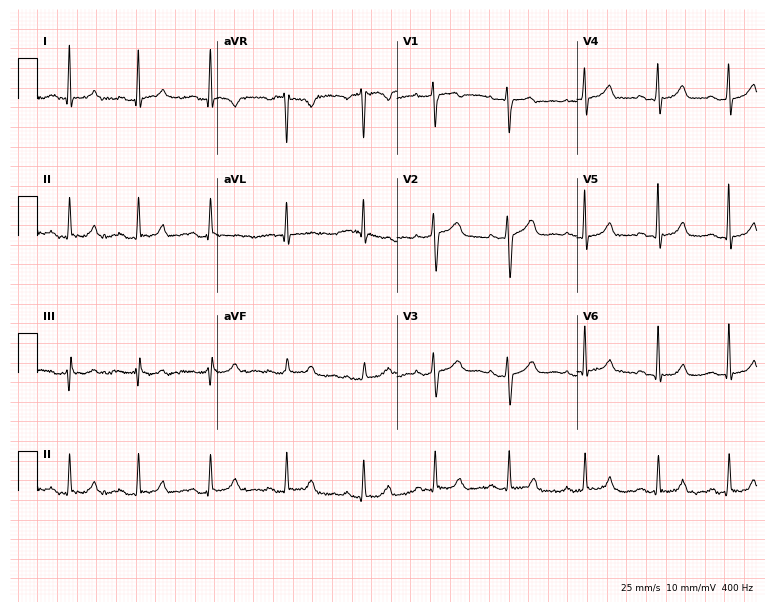
Resting 12-lead electrocardiogram (7.3-second recording at 400 Hz). Patient: a woman, 35 years old. Read as a normal ECG.